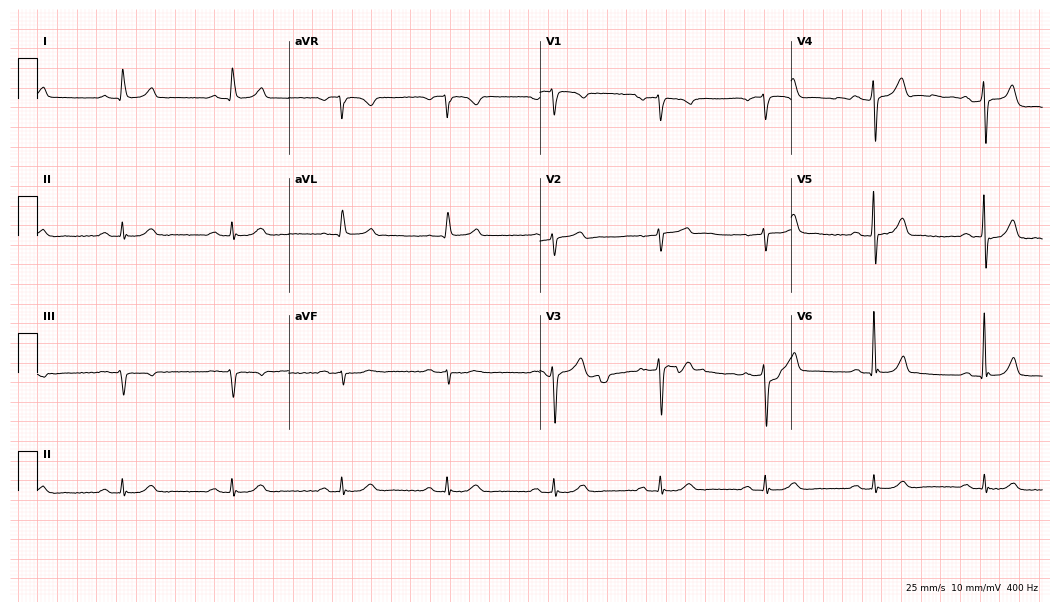
Standard 12-lead ECG recorded from a 72-year-old male patient (10.2-second recording at 400 Hz). Read as a normal ECG.